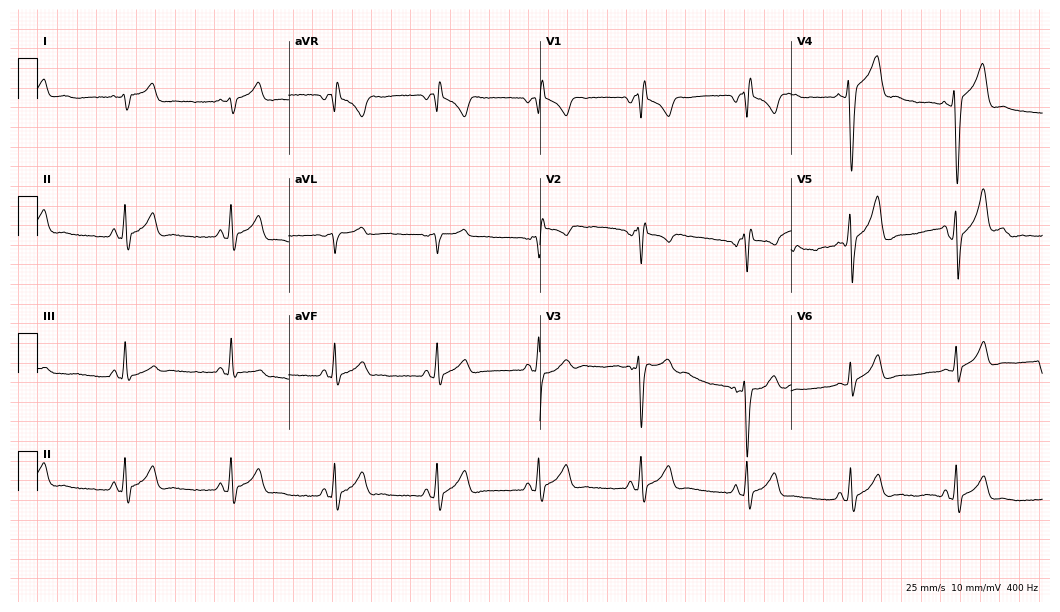
Resting 12-lead electrocardiogram (10.2-second recording at 400 Hz). Patient: a 17-year-old male. None of these six findings is recorded: first-degree AV block, right bundle branch block, left bundle branch block, sinus bradycardia, atrial fibrillation, sinus tachycardia. Findings outside these six are not listed.